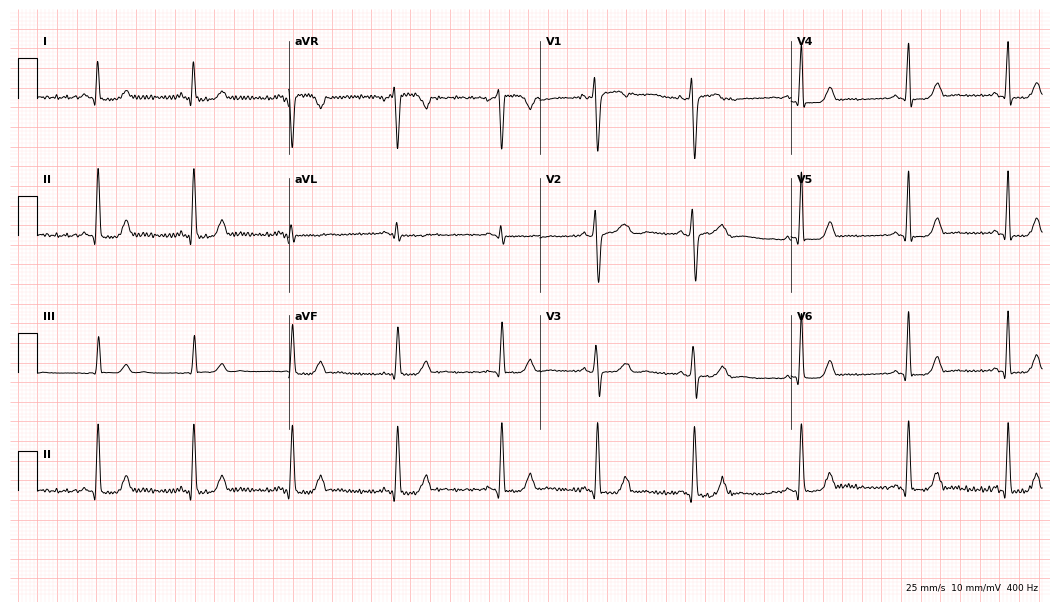
Electrocardiogram (10.2-second recording at 400 Hz), a 35-year-old female. Overall reading on record: normal ECG.